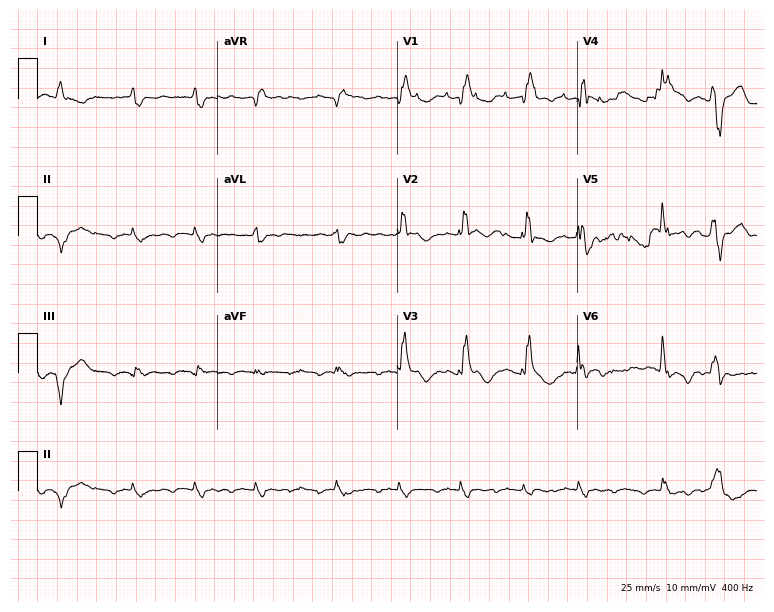
Standard 12-lead ECG recorded from a 64-year-old man. The tracing shows right bundle branch block (RBBB).